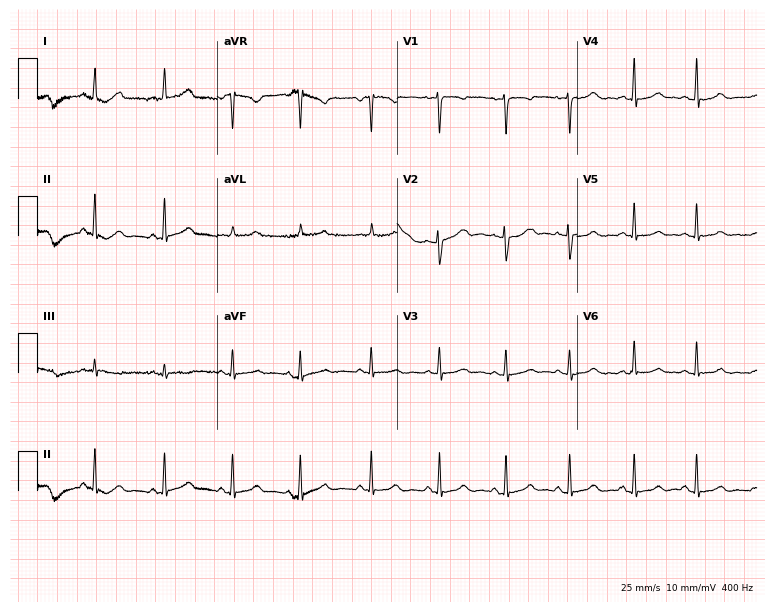
12-lead ECG from a female patient, 44 years old (7.3-second recording at 400 Hz). Recorded interpretation: within normal limits.